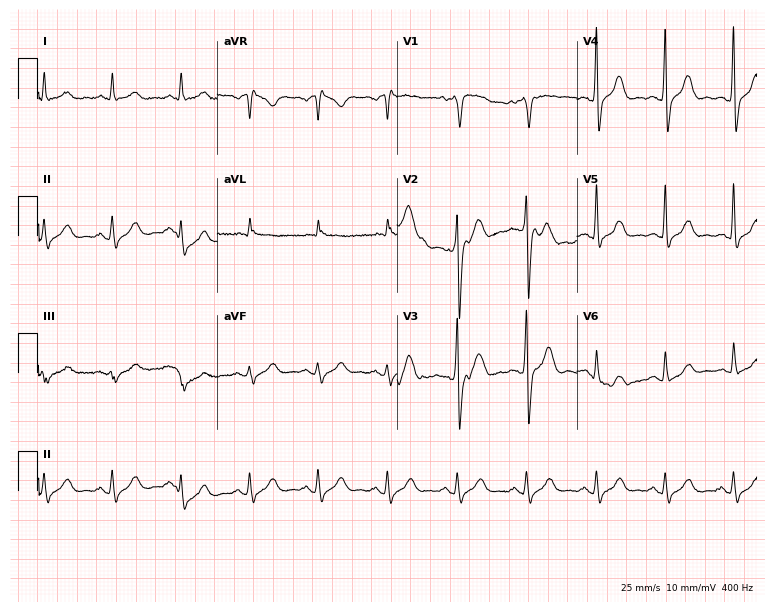
ECG (7.3-second recording at 400 Hz) — a male, 61 years old. Labelled as a normal ECG.